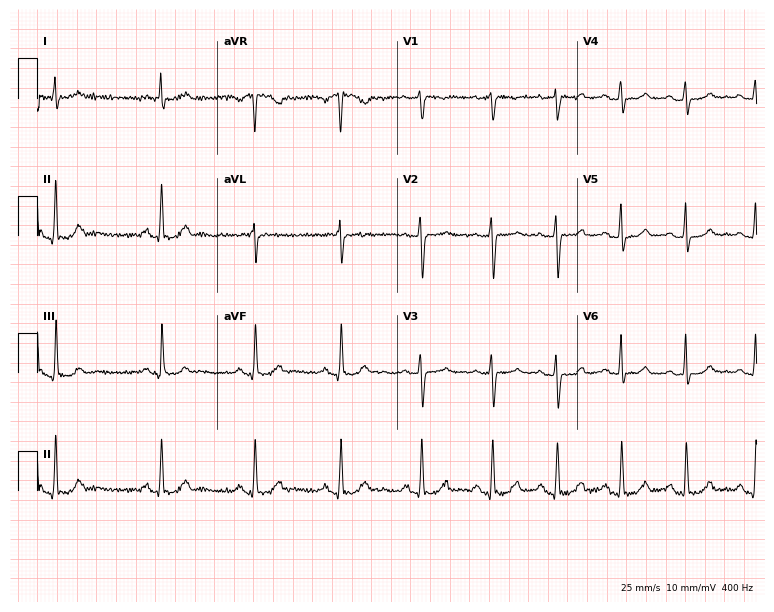
Electrocardiogram, a 54-year-old female patient. Overall reading on record: normal ECG.